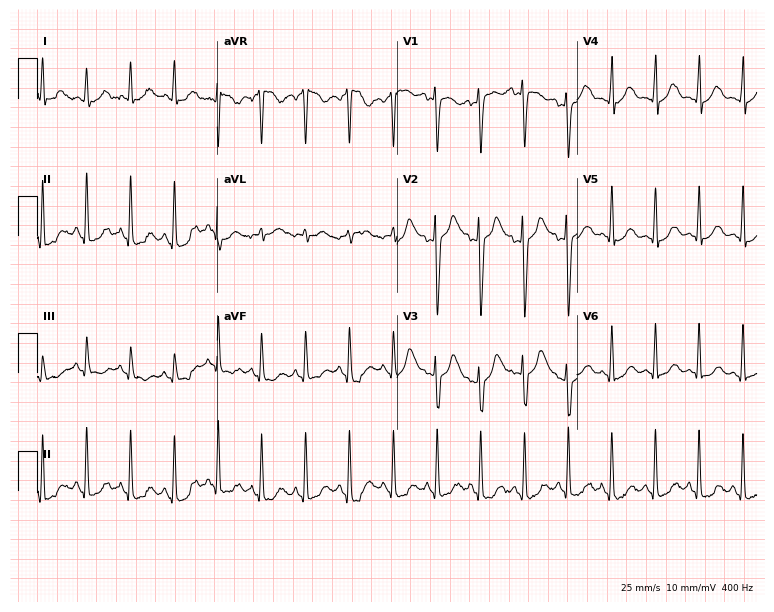
Resting 12-lead electrocardiogram. Patient: a 26-year-old female. The tracing shows sinus tachycardia (a sinus rate of 100 beats per minute or more).